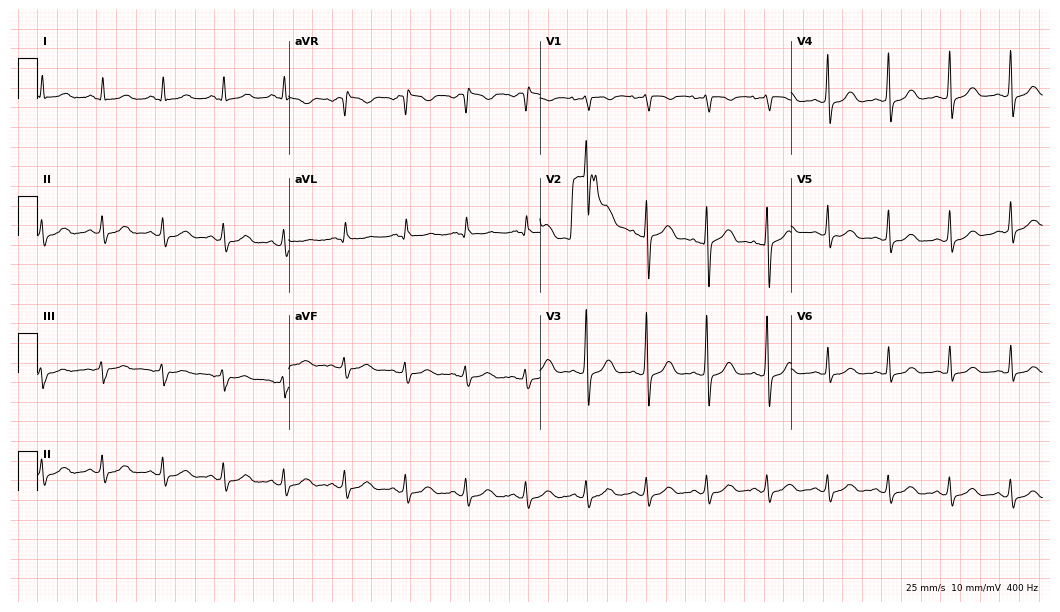
ECG — a female patient, 31 years old. Labelled as a normal ECG.